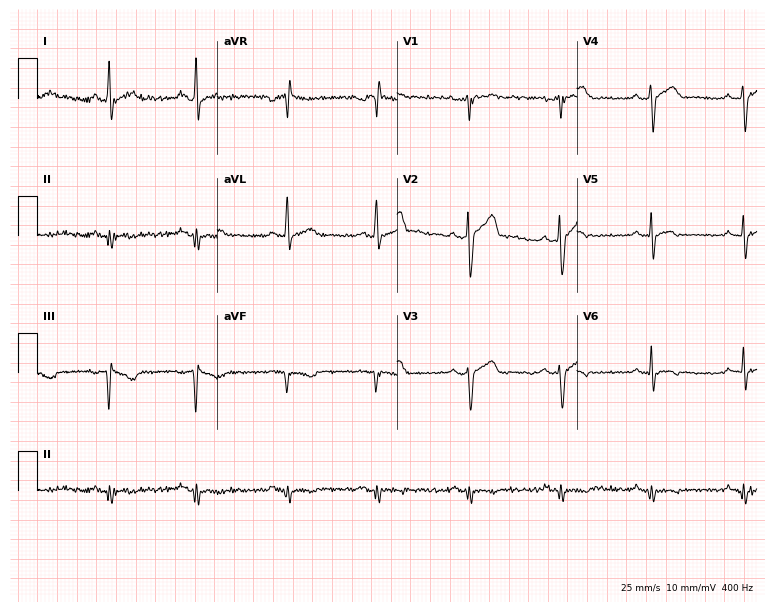
12-lead ECG from a 40-year-old male patient. No first-degree AV block, right bundle branch block, left bundle branch block, sinus bradycardia, atrial fibrillation or sinus tachycardia recorded for this tracing. Other findings, if any, are not listed.